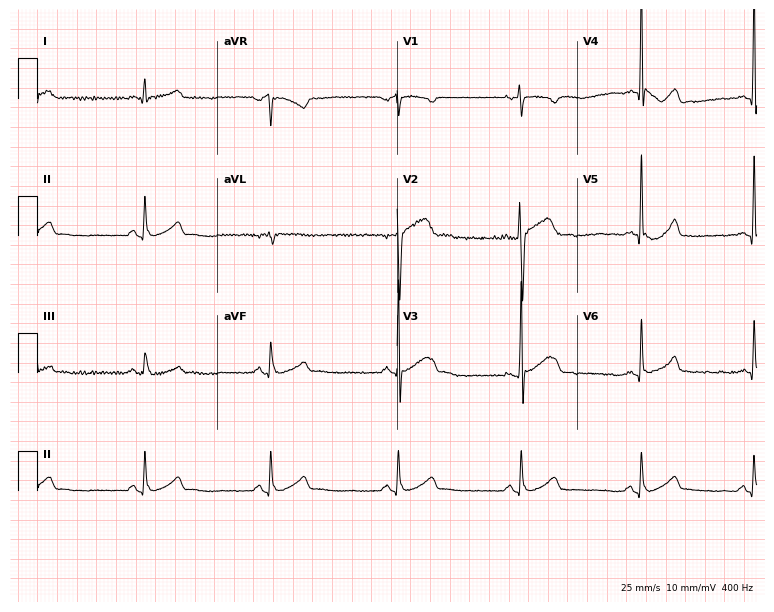
ECG — a 33-year-old man. Findings include sinus bradycardia (a sinus rate of 50 beats per minute or less).